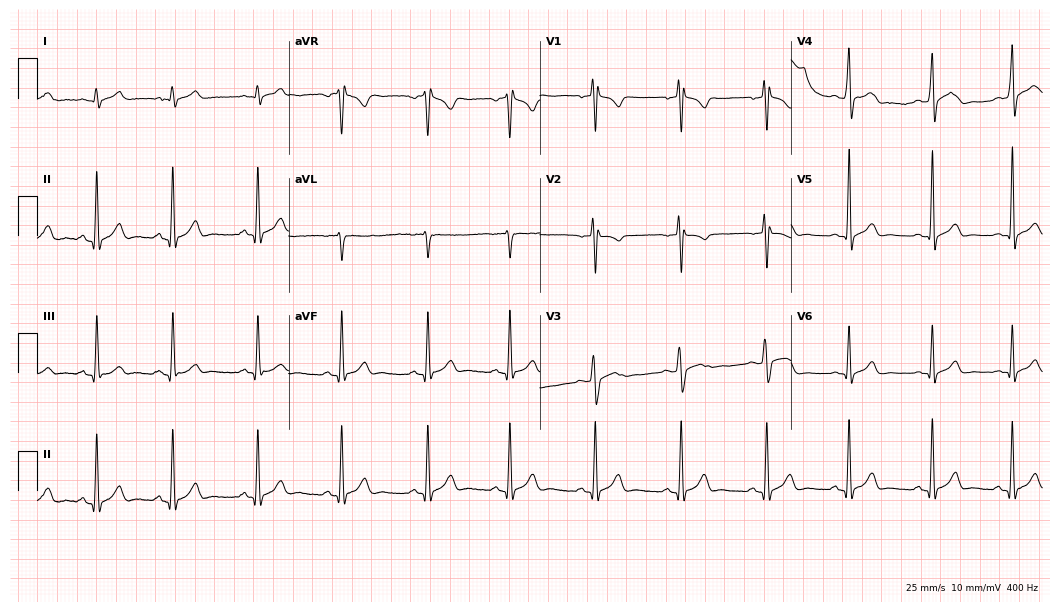
12-lead ECG from a 21-year-old man. Recorded interpretation: within normal limits.